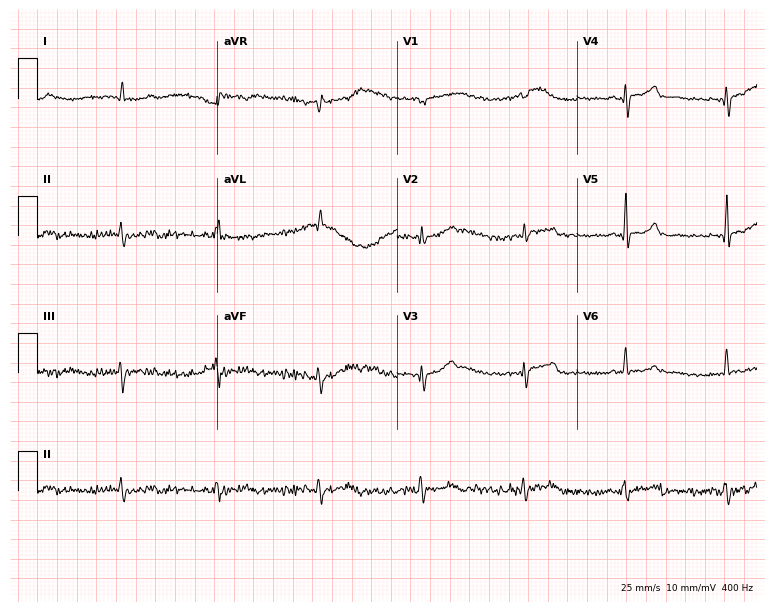
Standard 12-lead ECG recorded from an 83-year-old male patient. None of these six findings is recorded: first-degree AV block, right bundle branch block (RBBB), left bundle branch block (LBBB), sinus bradycardia, atrial fibrillation (AF), sinus tachycardia.